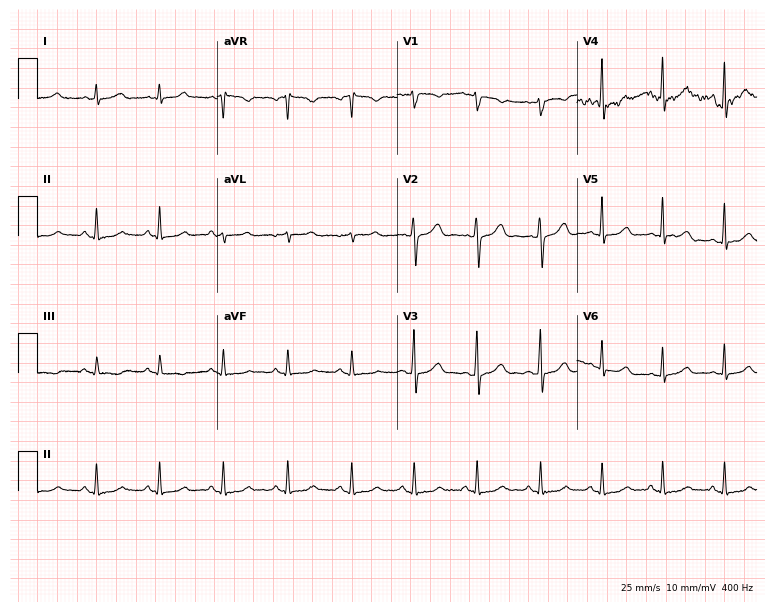
ECG — a female patient, 31 years old. Labelled as a normal ECG.